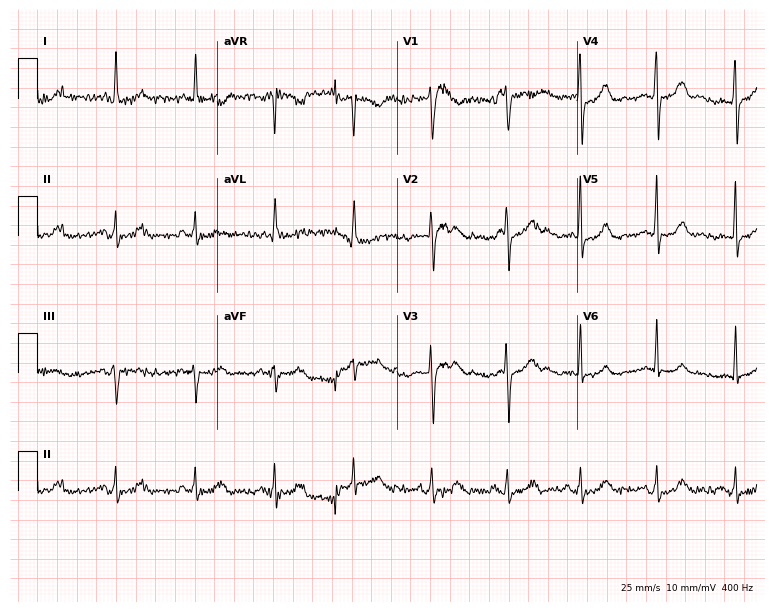
12-lead ECG from a woman, 36 years old. No first-degree AV block, right bundle branch block (RBBB), left bundle branch block (LBBB), sinus bradycardia, atrial fibrillation (AF) or sinus tachycardia recorded for this tracing.